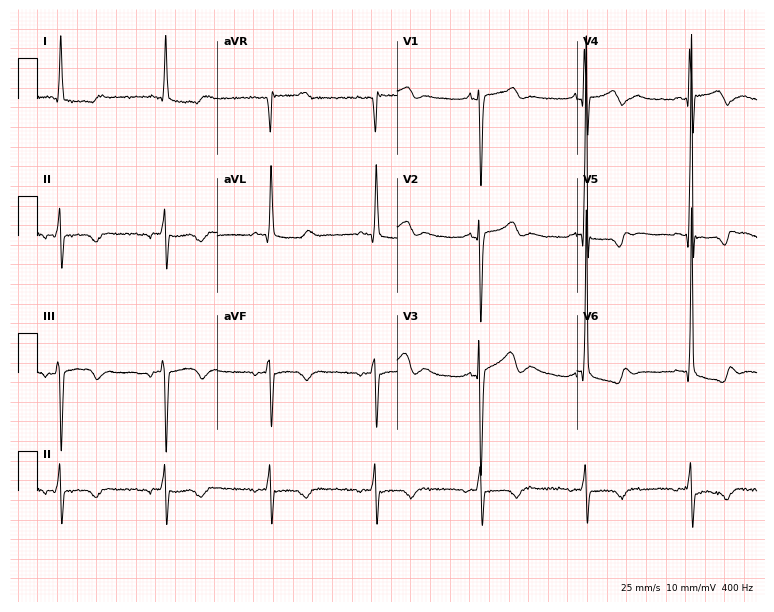
Resting 12-lead electrocardiogram (7.3-second recording at 400 Hz). Patient: a 76-year-old man. None of these six findings is recorded: first-degree AV block, right bundle branch block, left bundle branch block, sinus bradycardia, atrial fibrillation, sinus tachycardia. Findings outside these six are not listed.